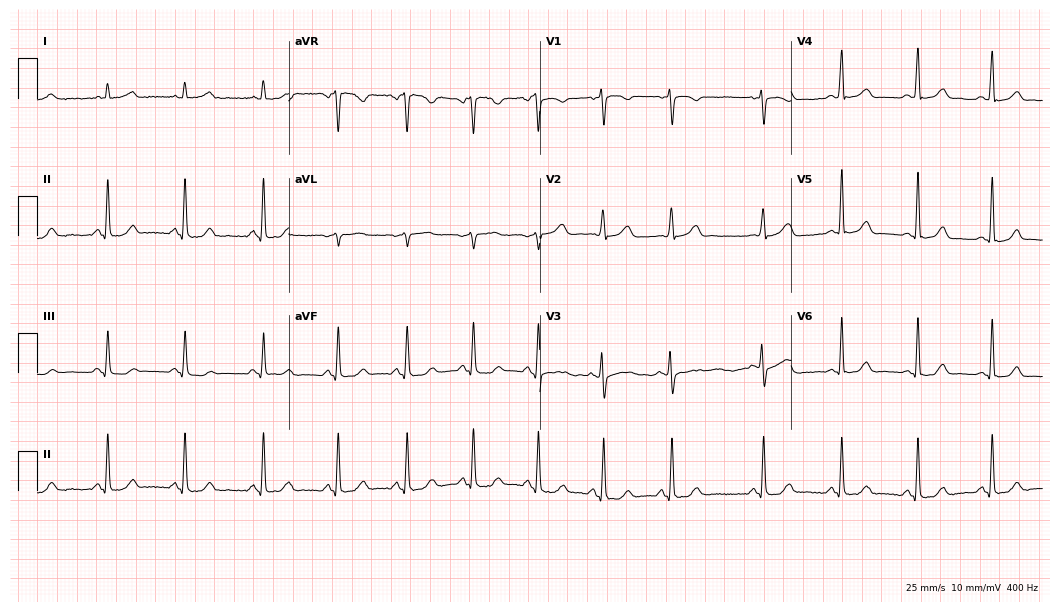
Electrocardiogram, a 30-year-old female. Overall reading on record: normal ECG.